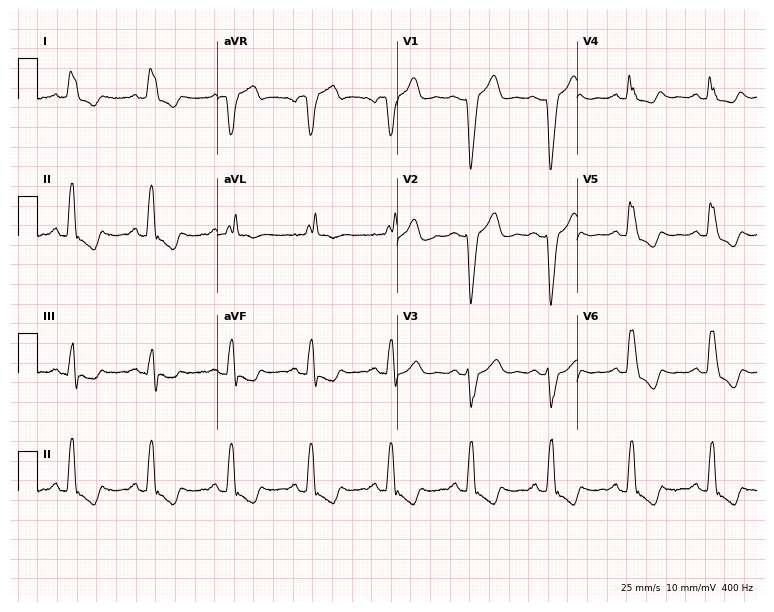
12-lead ECG (7.3-second recording at 400 Hz) from a 72-year-old female. Findings include left bundle branch block.